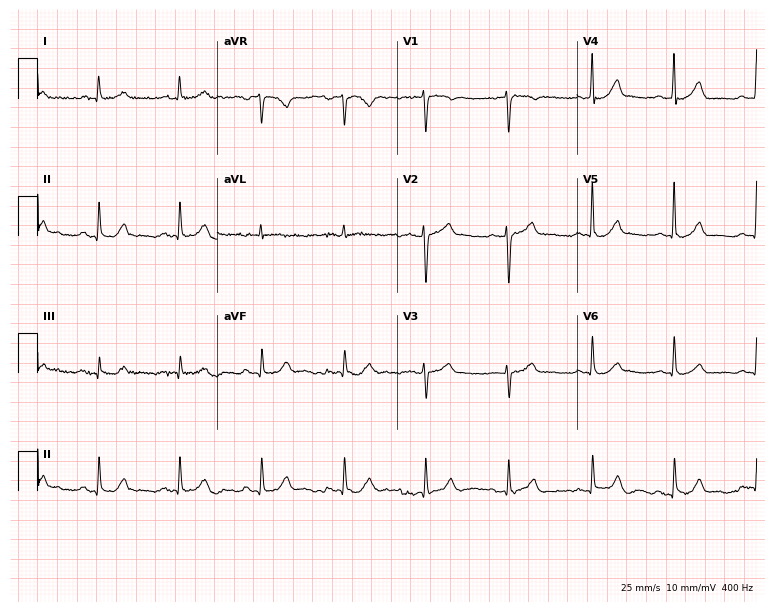
Resting 12-lead electrocardiogram (7.3-second recording at 400 Hz). Patient: a male, 74 years old. Read as a normal ECG.